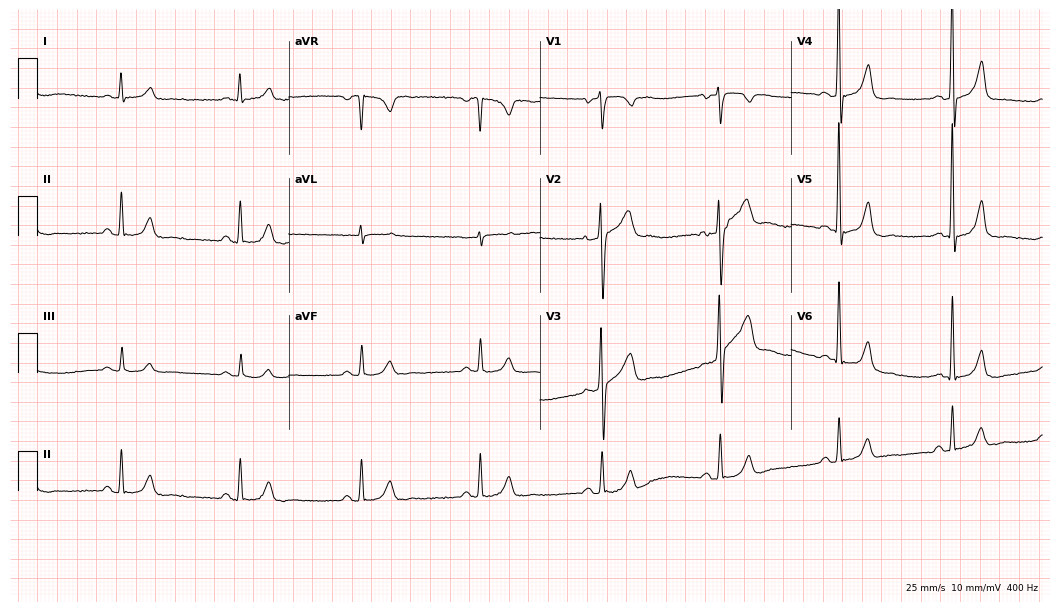
12-lead ECG from a 59-year-old man. Shows sinus bradycardia (a sinus rate of 50 beats per minute or less).